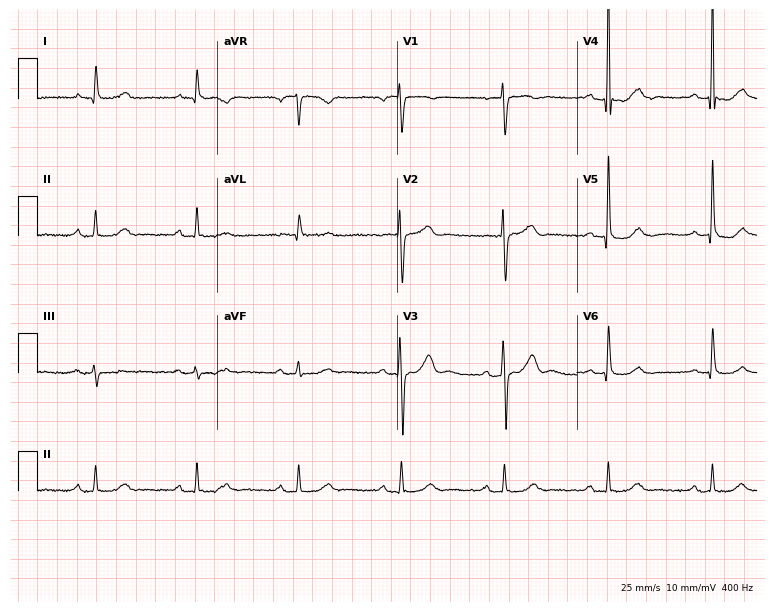
12-lead ECG (7.3-second recording at 400 Hz) from a 69-year-old male patient. Labelled as a normal ECG.